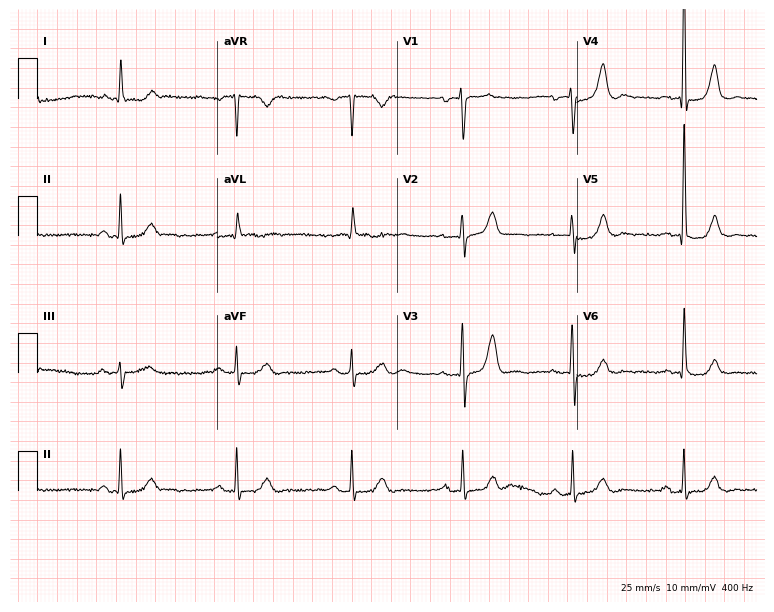
12-lead ECG (7.3-second recording at 400 Hz) from a male patient, 83 years old. Labelled as a normal ECG.